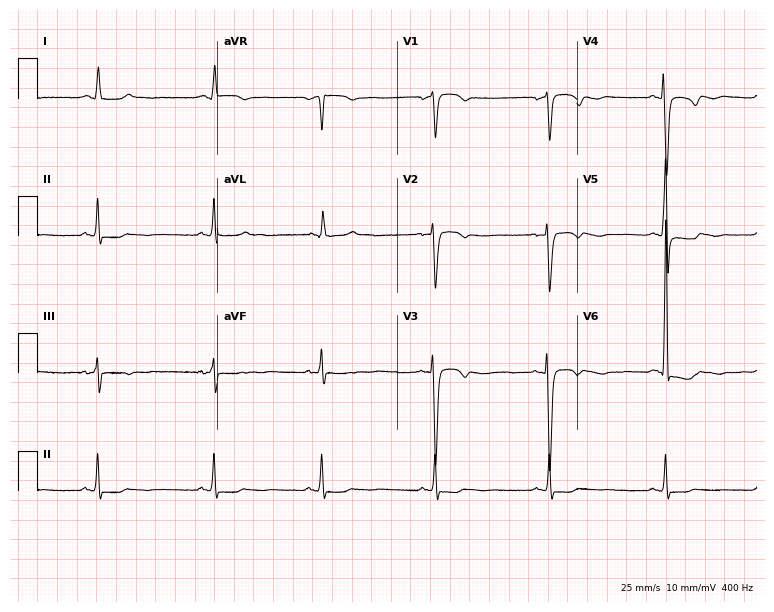
Standard 12-lead ECG recorded from a 58-year-old woman (7.3-second recording at 400 Hz). None of these six findings is recorded: first-degree AV block, right bundle branch block, left bundle branch block, sinus bradycardia, atrial fibrillation, sinus tachycardia. Only these six findings were labelled.